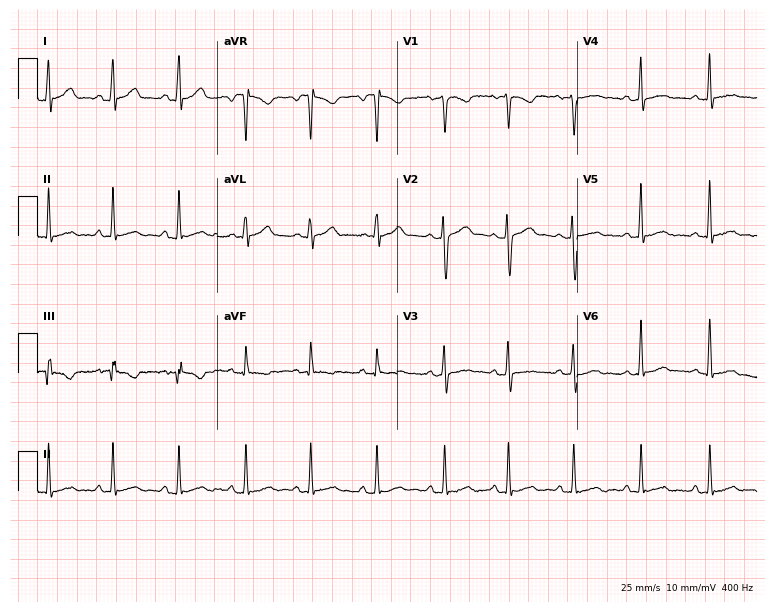
Electrocardiogram, a 17-year-old male. Of the six screened findings (first-degree AV block, right bundle branch block, left bundle branch block, sinus bradycardia, atrial fibrillation, sinus tachycardia), none is recorded. Only these six findings were labelled.